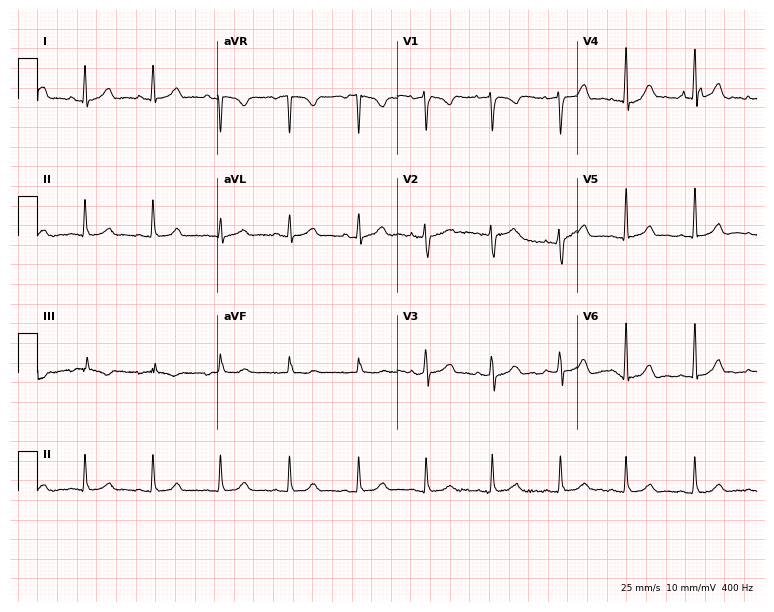
Electrocardiogram, a female, 30 years old. Overall reading on record: normal ECG.